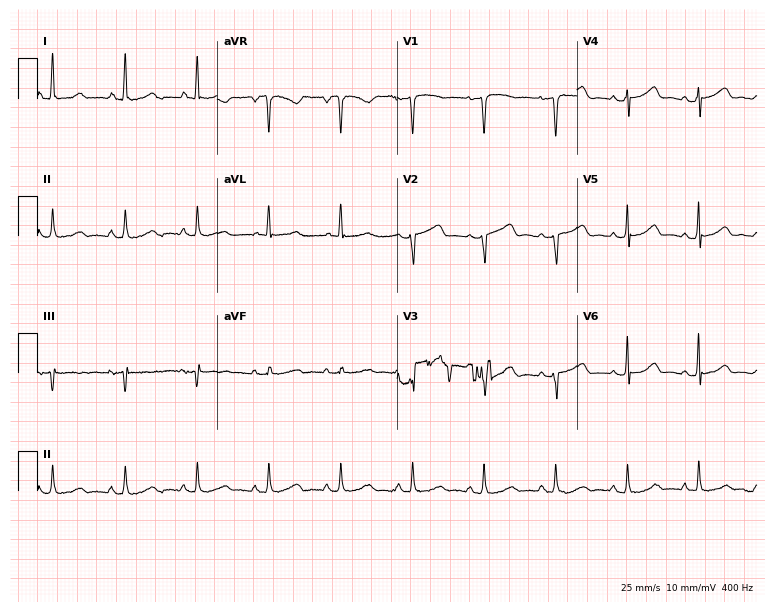
12-lead ECG (7.3-second recording at 400 Hz) from a 46-year-old woman. Screened for six findings — first-degree AV block, right bundle branch block, left bundle branch block, sinus bradycardia, atrial fibrillation, sinus tachycardia — none is recorded. Findings outside these six are not listed.